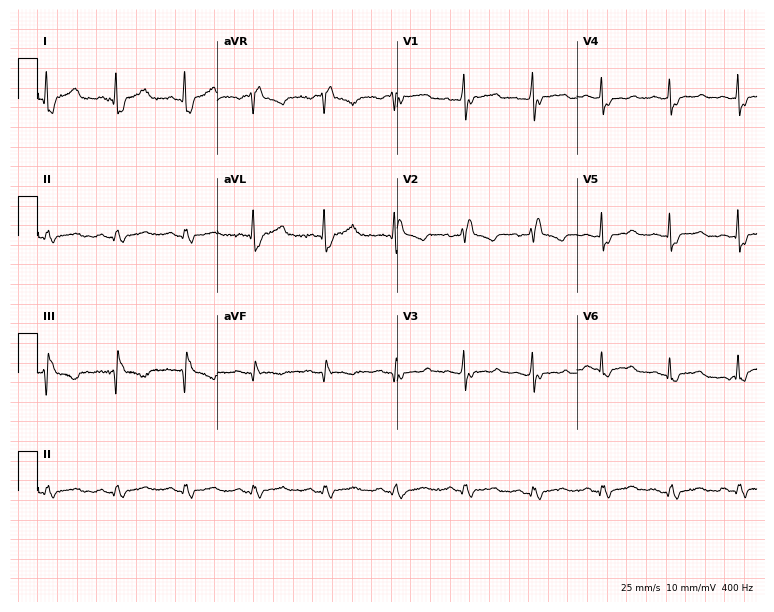
ECG (7.3-second recording at 400 Hz) — a male patient, 50 years old. Findings include right bundle branch block (RBBB).